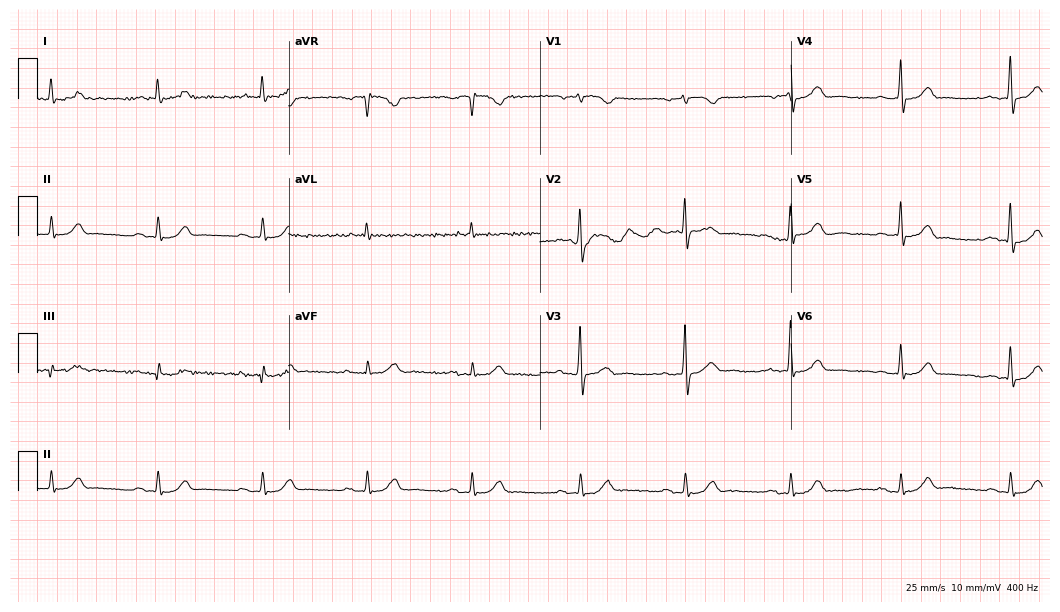
Resting 12-lead electrocardiogram (10.2-second recording at 400 Hz). Patient: a 75-year-old male. Read as a normal ECG.